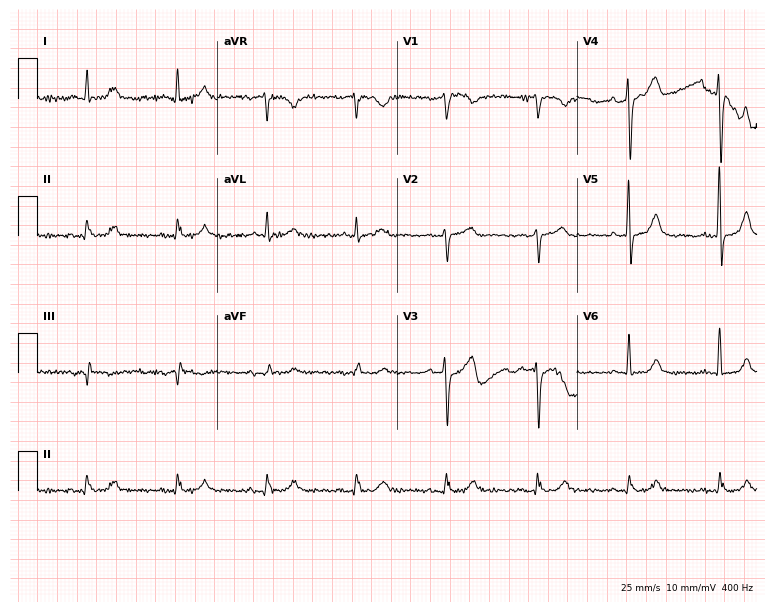
Resting 12-lead electrocardiogram (7.3-second recording at 400 Hz). Patient: a male, 62 years old. Read as a normal ECG.